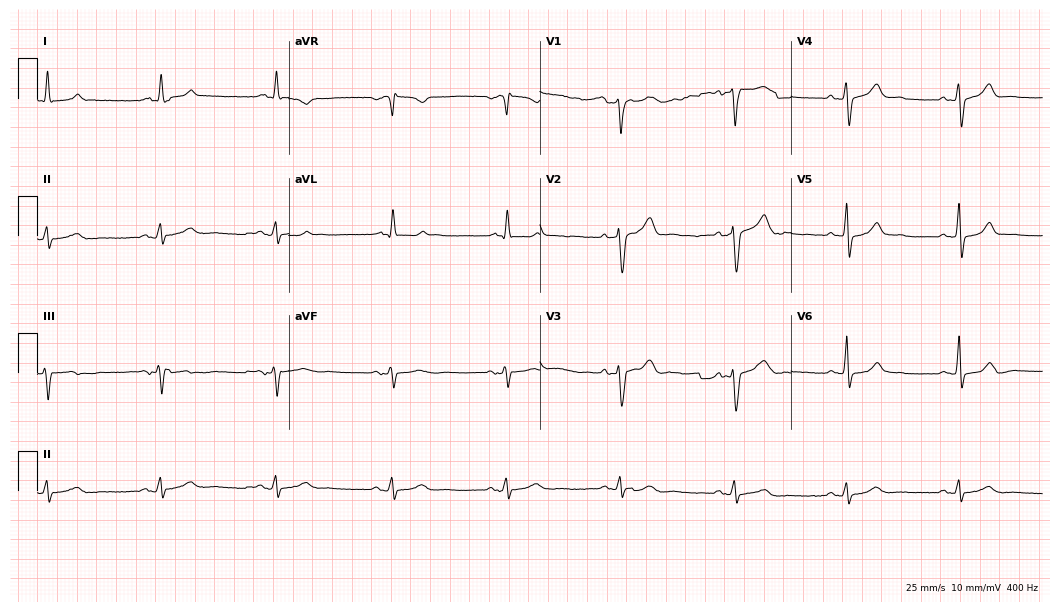
Standard 12-lead ECG recorded from an 81-year-old male (10.2-second recording at 400 Hz). None of these six findings is recorded: first-degree AV block, right bundle branch block, left bundle branch block, sinus bradycardia, atrial fibrillation, sinus tachycardia. Other findings, if any, are not listed.